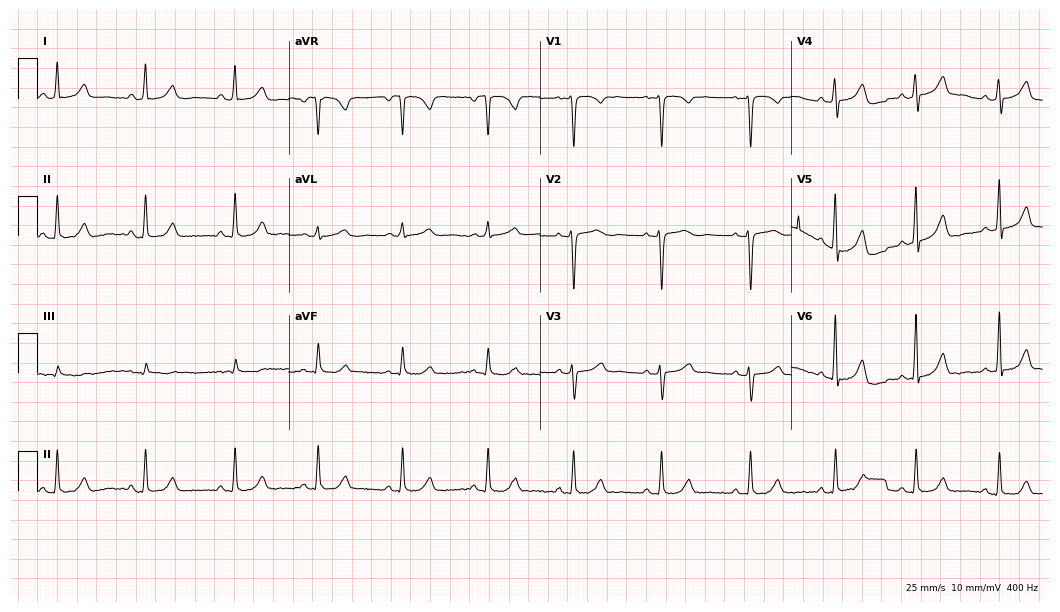
Electrocardiogram, a woman, 36 years old. Of the six screened findings (first-degree AV block, right bundle branch block, left bundle branch block, sinus bradycardia, atrial fibrillation, sinus tachycardia), none is recorded. Other findings, if any, are not listed.